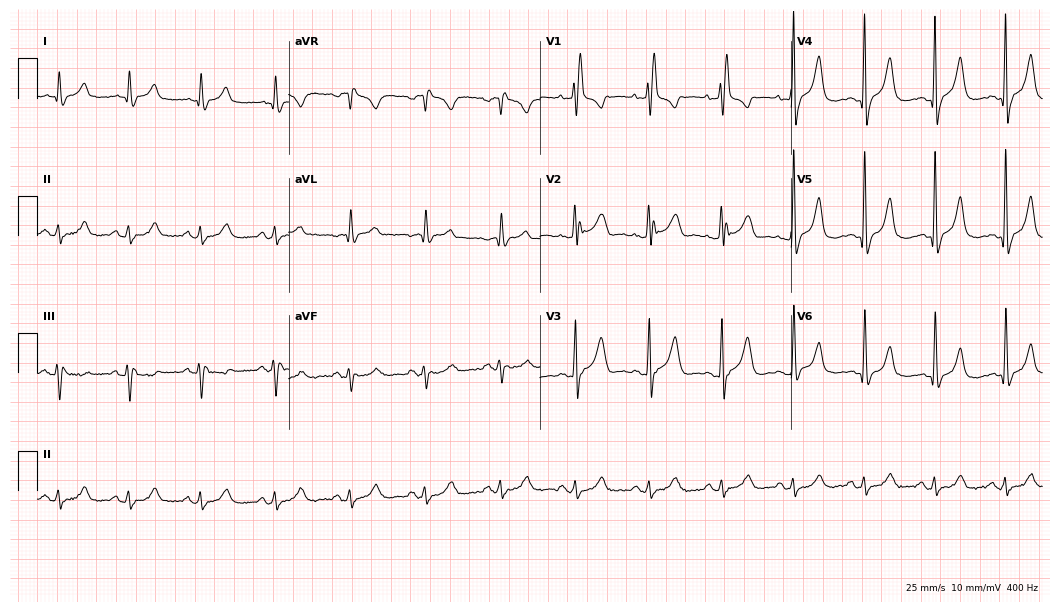
Resting 12-lead electrocardiogram (10.2-second recording at 400 Hz). Patient: a man, 75 years old. None of these six findings is recorded: first-degree AV block, right bundle branch block, left bundle branch block, sinus bradycardia, atrial fibrillation, sinus tachycardia.